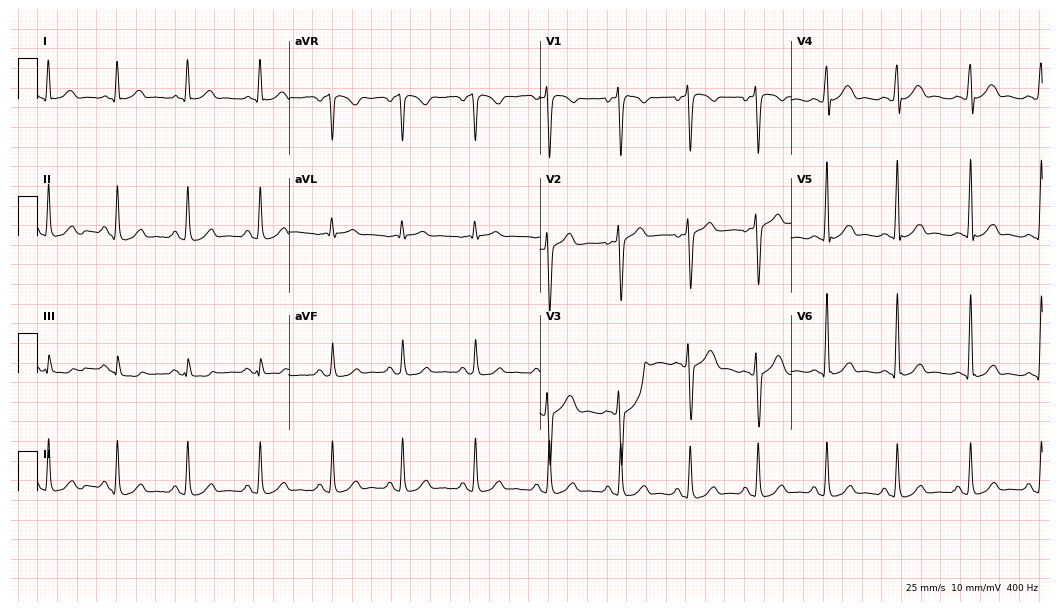
12-lead ECG from a male, 27 years old (10.2-second recording at 400 Hz). Recorded interpretation: within normal limits.